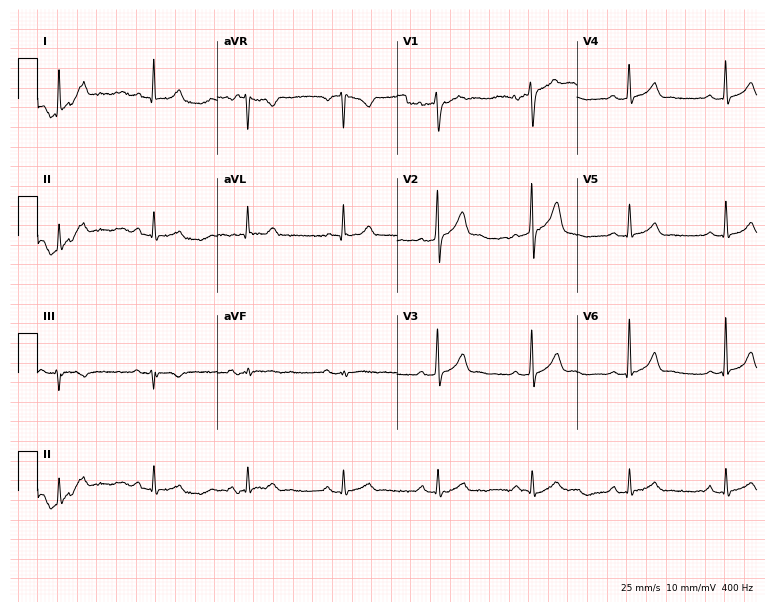
Electrocardiogram, a 38-year-old man. Overall reading on record: normal ECG.